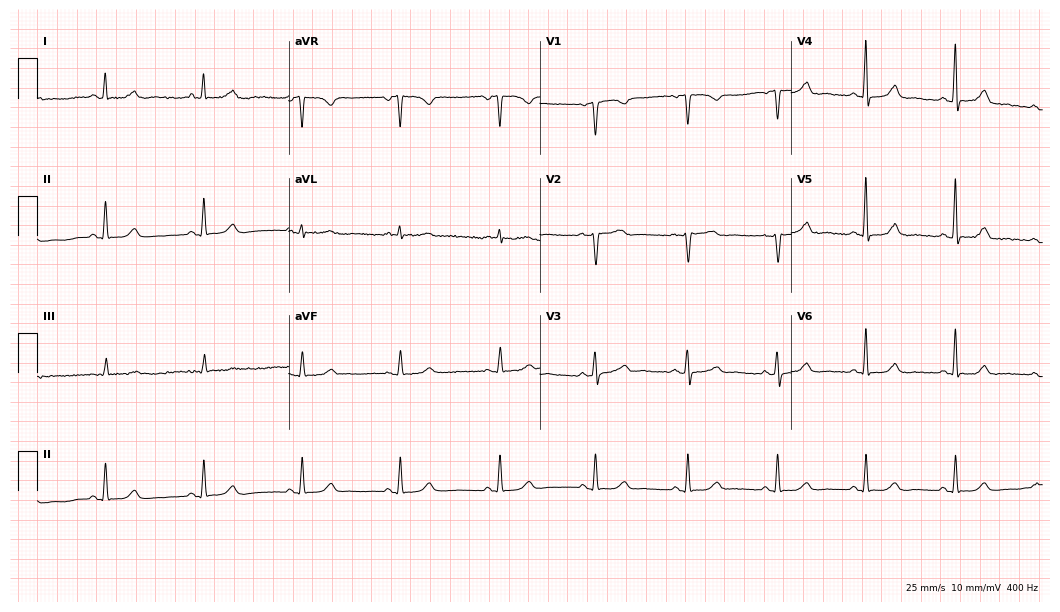
ECG — a female patient, 50 years old. Labelled as a normal ECG.